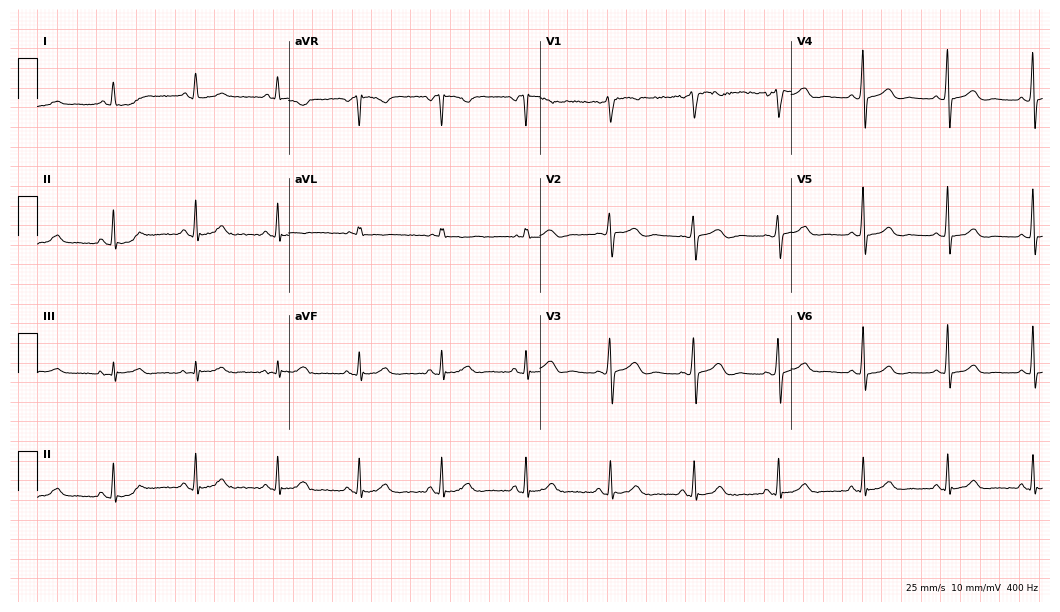
Standard 12-lead ECG recorded from a woman, 57 years old. Read as a normal ECG.